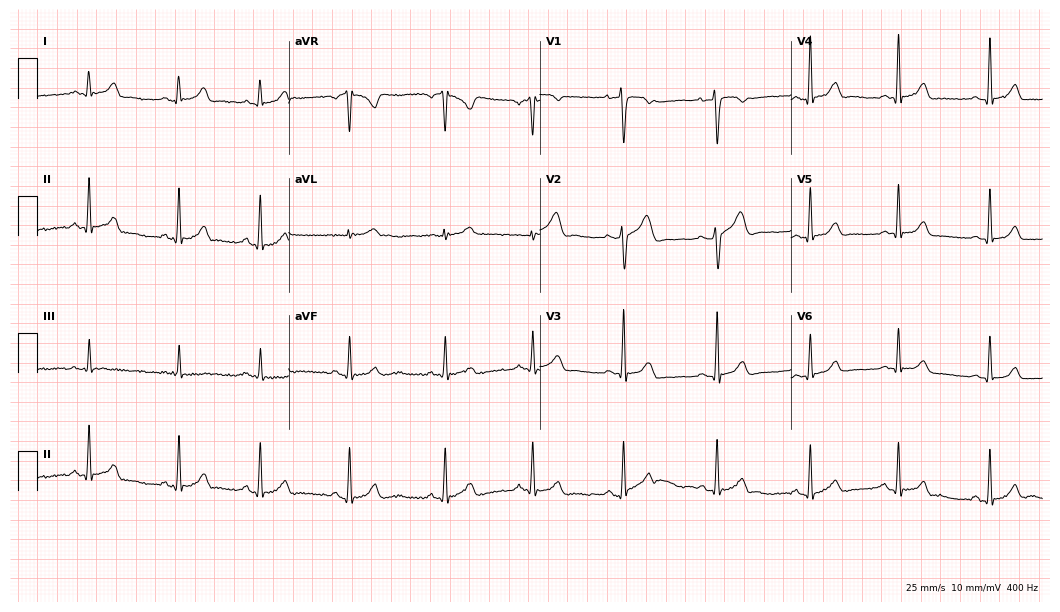
Resting 12-lead electrocardiogram (10.2-second recording at 400 Hz). Patient: a 36-year-old female. None of these six findings is recorded: first-degree AV block, right bundle branch block, left bundle branch block, sinus bradycardia, atrial fibrillation, sinus tachycardia. Only these six findings were labelled.